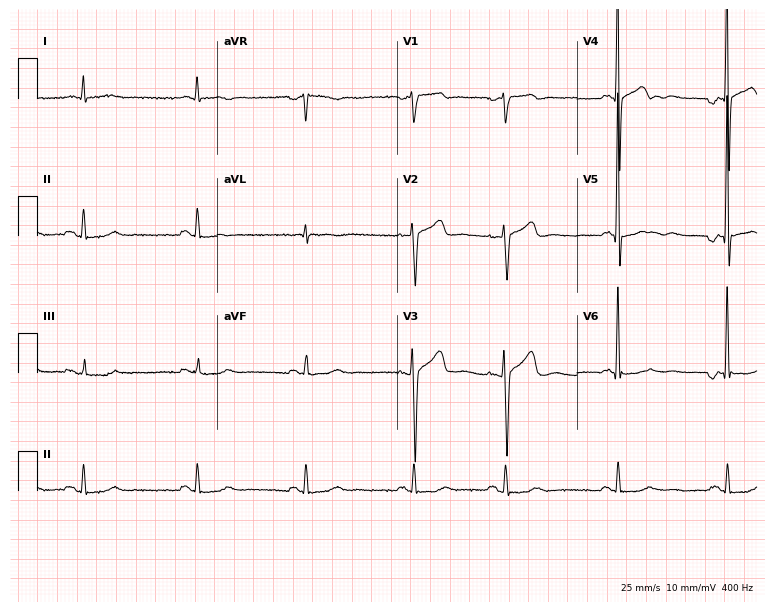
Electrocardiogram (7.3-second recording at 400 Hz), a 66-year-old male patient. Of the six screened findings (first-degree AV block, right bundle branch block (RBBB), left bundle branch block (LBBB), sinus bradycardia, atrial fibrillation (AF), sinus tachycardia), none is recorded. Other findings, if any, are not listed.